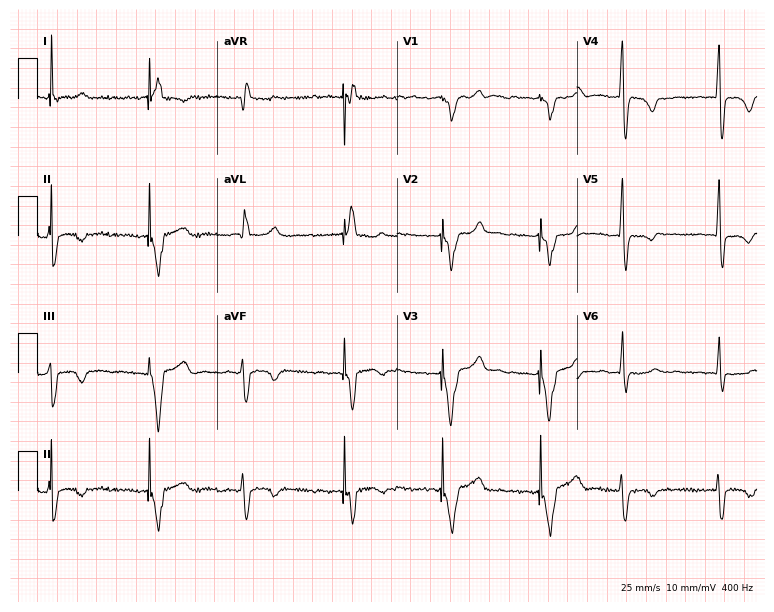
ECG (7.3-second recording at 400 Hz) — a woman, 67 years old. Screened for six findings — first-degree AV block, right bundle branch block (RBBB), left bundle branch block (LBBB), sinus bradycardia, atrial fibrillation (AF), sinus tachycardia — none is recorded.